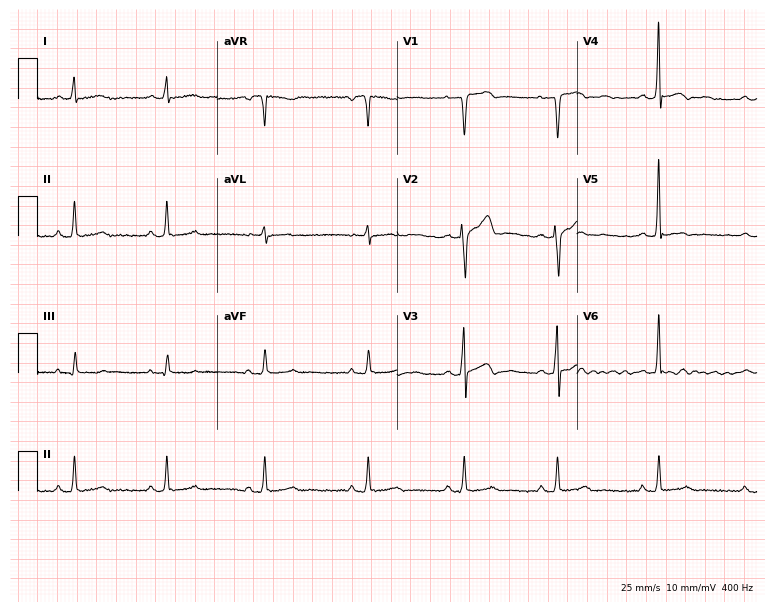
Standard 12-lead ECG recorded from a 34-year-old man. None of these six findings is recorded: first-degree AV block, right bundle branch block (RBBB), left bundle branch block (LBBB), sinus bradycardia, atrial fibrillation (AF), sinus tachycardia.